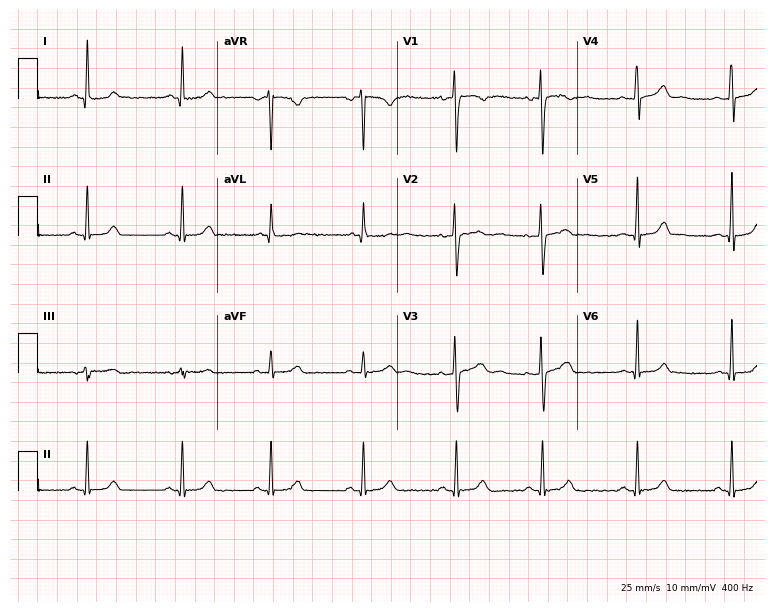
Resting 12-lead electrocardiogram (7.3-second recording at 400 Hz). Patient: a 26-year-old female. None of these six findings is recorded: first-degree AV block, right bundle branch block, left bundle branch block, sinus bradycardia, atrial fibrillation, sinus tachycardia. Only these six findings were labelled.